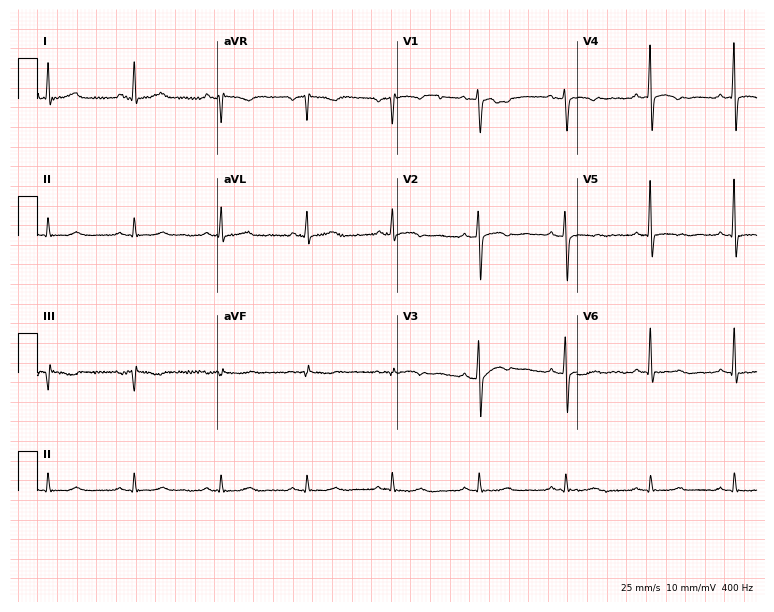
ECG — a female, 63 years old. Screened for six findings — first-degree AV block, right bundle branch block (RBBB), left bundle branch block (LBBB), sinus bradycardia, atrial fibrillation (AF), sinus tachycardia — none is recorded. Findings outside these six are not listed.